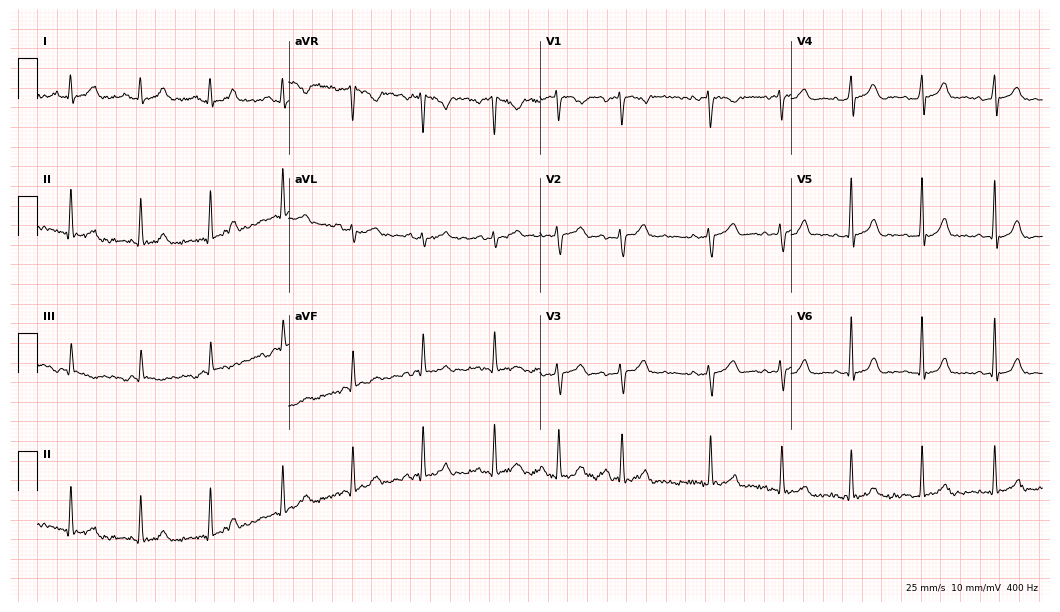
Resting 12-lead electrocardiogram. Patient: a 39-year-old female. None of these six findings is recorded: first-degree AV block, right bundle branch block (RBBB), left bundle branch block (LBBB), sinus bradycardia, atrial fibrillation (AF), sinus tachycardia.